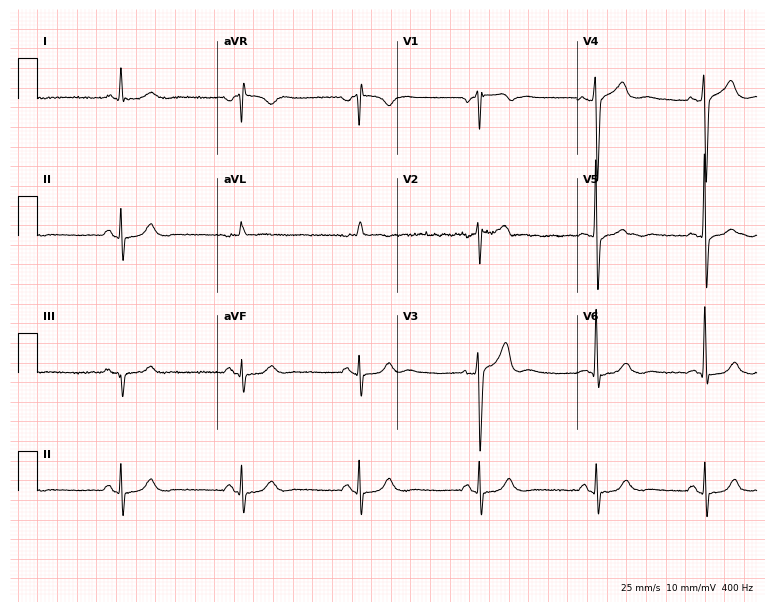
Electrocardiogram (7.3-second recording at 400 Hz), a man, 70 years old. Interpretation includes sinus bradycardia (a sinus rate of 50 beats per minute or less).